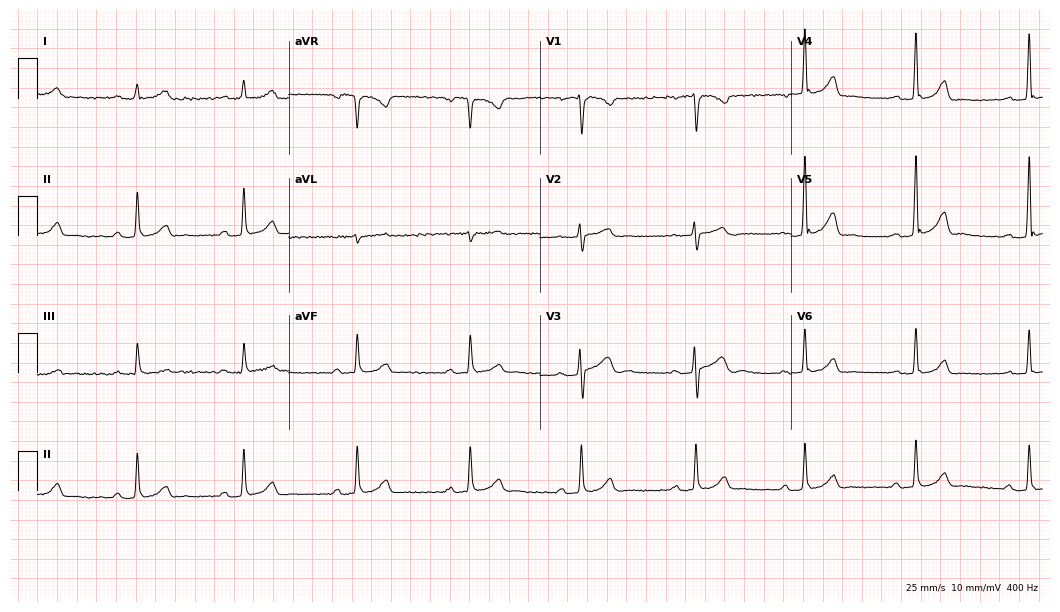
ECG (10.2-second recording at 400 Hz) — a male patient, 27 years old. Labelled as a normal ECG.